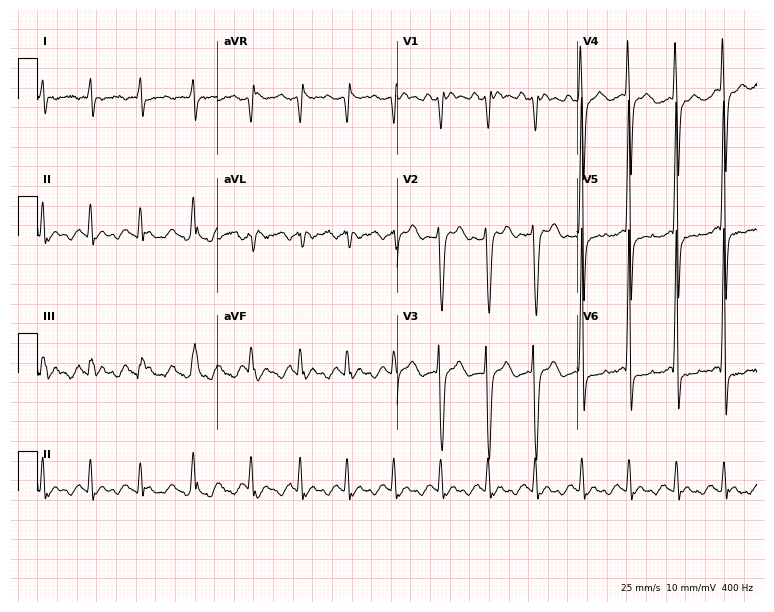
Standard 12-lead ECG recorded from a male, 54 years old (7.3-second recording at 400 Hz). None of these six findings is recorded: first-degree AV block, right bundle branch block, left bundle branch block, sinus bradycardia, atrial fibrillation, sinus tachycardia. Other findings, if any, are not listed.